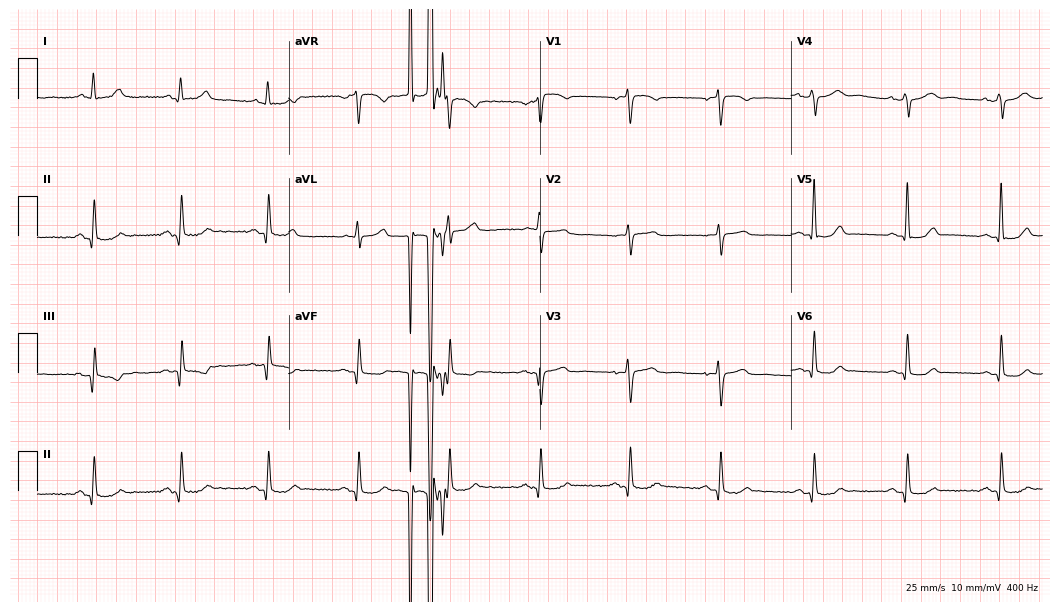
12-lead ECG from a female patient, 53 years old. Labelled as a normal ECG.